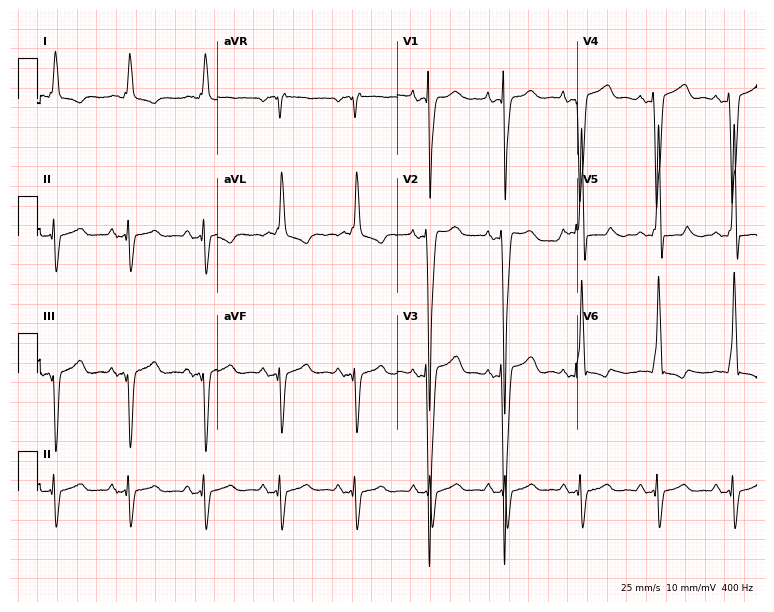
Resting 12-lead electrocardiogram (7.3-second recording at 400 Hz). Patient: a male, 73 years old. None of these six findings is recorded: first-degree AV block, right bundle branch block (RBBB), left bundle branch block (LBBB), sinus bradycardia, atrial fibrillation (AF), sinus tachycardia. Other findings, if any, are not listed.